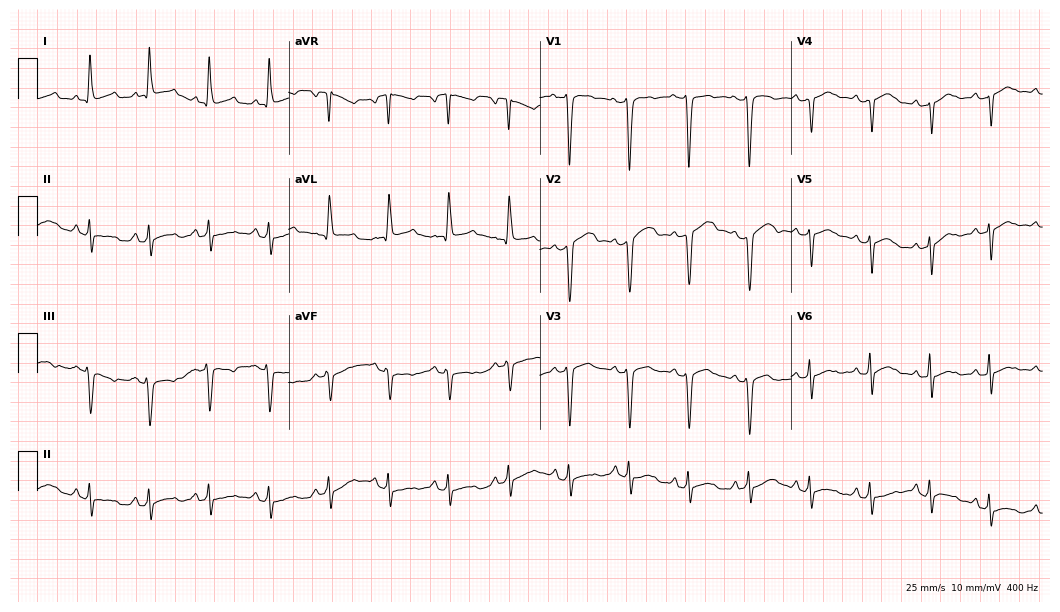
Electrocardiogram, a woman, 59 years old. Of the six screened findings (first-degree AV block, right bundle branch block, left bundle branch block, sinus bradycardia, atrial fibrillation, sinus tachycardia), none is recorded. Only these six findings were labelled.